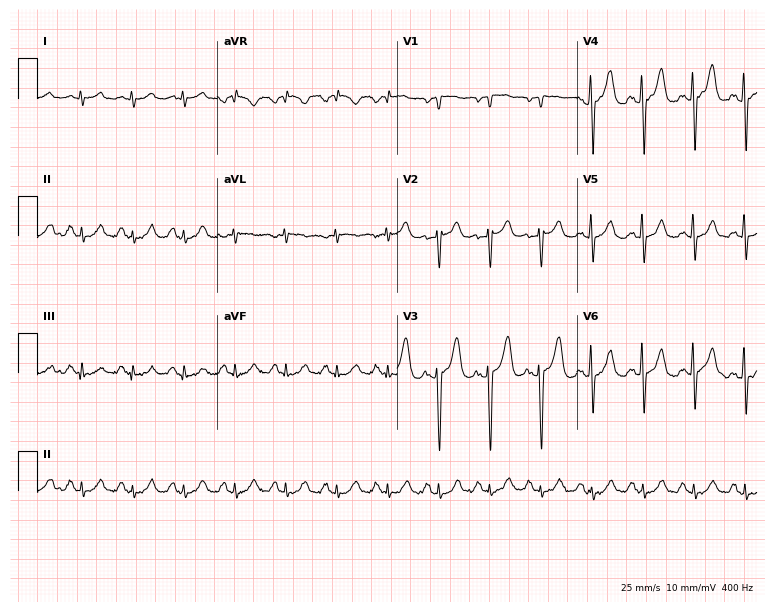
ECG — a female patient, 64 years old. Findings include sinus tachycardia (a sinus rate of 100 beats per minute or more).